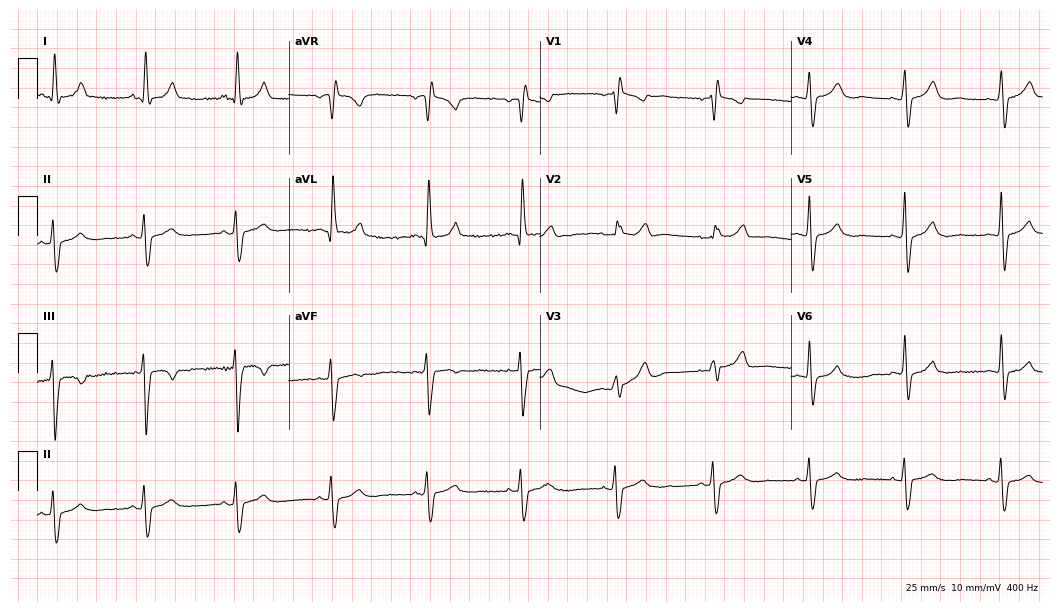
Standard 12-lead ECG recorded from a 55-year-old female (10.2-second recording at 400 Hz). None of these six findings is recorded: first-degree AV block, right bundle branch block (RBBB), left bundle branch block (LBBB), sinus bradycardia, atrial fibrillation (AF), sinus tachycardia. Only these six findings were labelled.